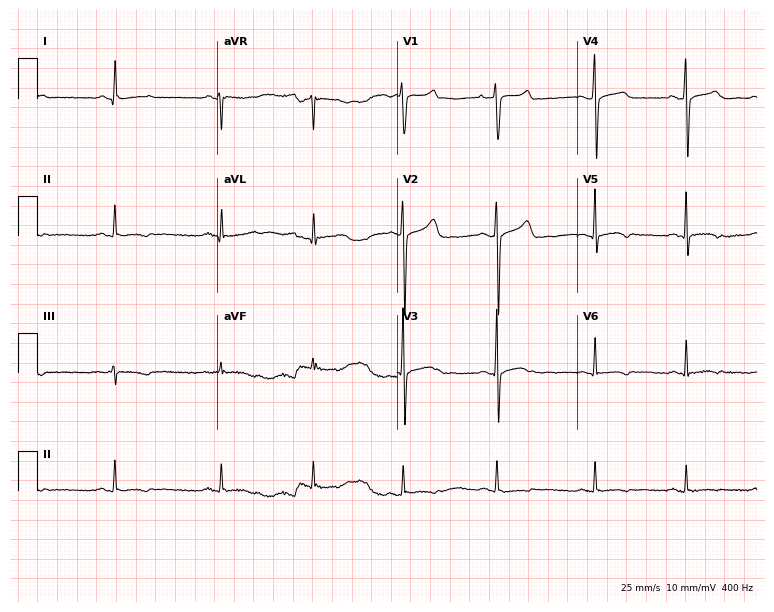
12-lead ECG from a man, 33 years old. No first-degree AV block, right bundle branch block (RBBB), left bundle branch block (LBBB), sinus bradycardia, atrial fibrillation (AF) or sinus tachycardia recorded for this tracing. Other findings, if any, are not listed.